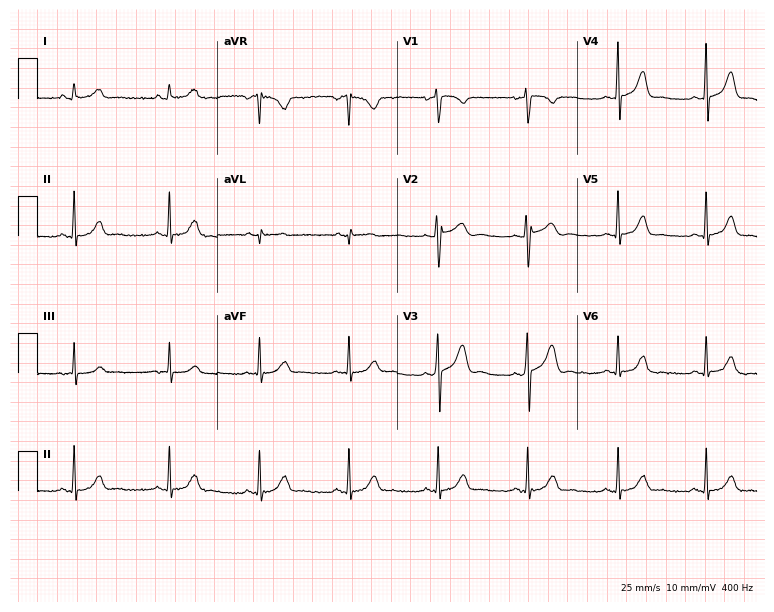
ECG (7.3-second recording at 400 Hz) — a female patient, 37 years old. Screened for six findings — first-degree AV block, right bundle branch block, left bundle branch block, sinus bradycardia, atrial fibrillation, sinus tachycardia — none is recorded. Other findings, if any, are not listed.